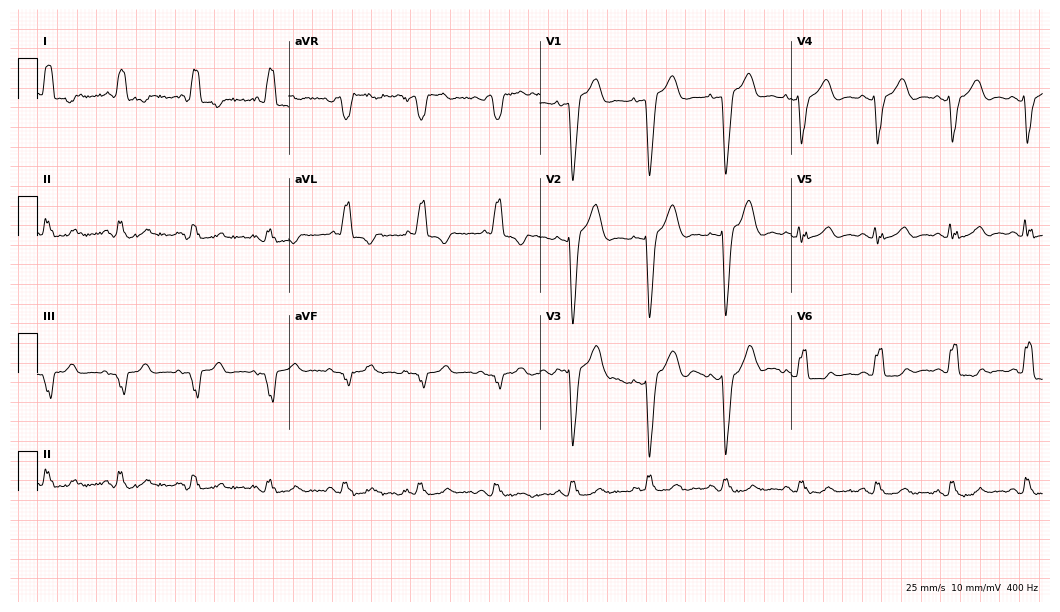
ECG (10.2-second recording at 400 Hz) — a female patient, 80 years old. Findings include left bundle branch block (LBBB).